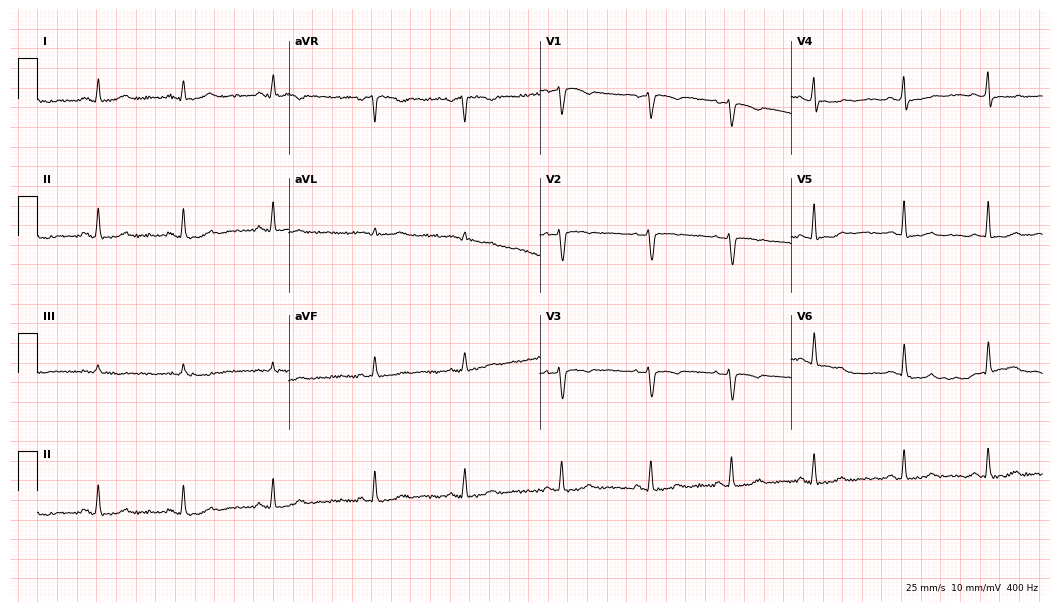
12-lead ECG from a 40-year-old female. Screened for six findings — first-degree AV block, right bundle branch block, left bundle branch block, sinus bradycardia, atrial fibrillation, sinus tachycardia — none is recorded. Findings outside these six are not listed.